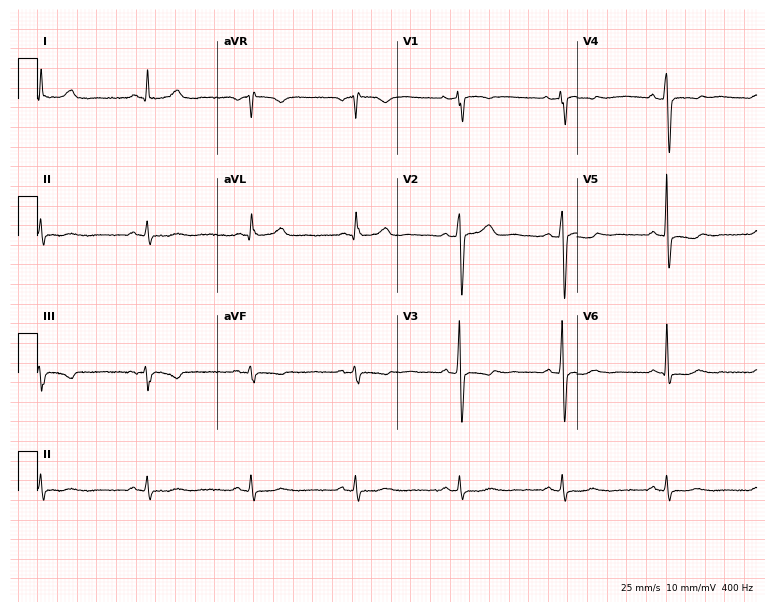
Resting 12-lead electrocardiogram. Patient: a 58-year-old male. None of these six findings is recorded: first-degree AV block, right bundle branch block, left bundle branch block, sinus bradycardia, atrial fibrillation, sinus tachycardia.